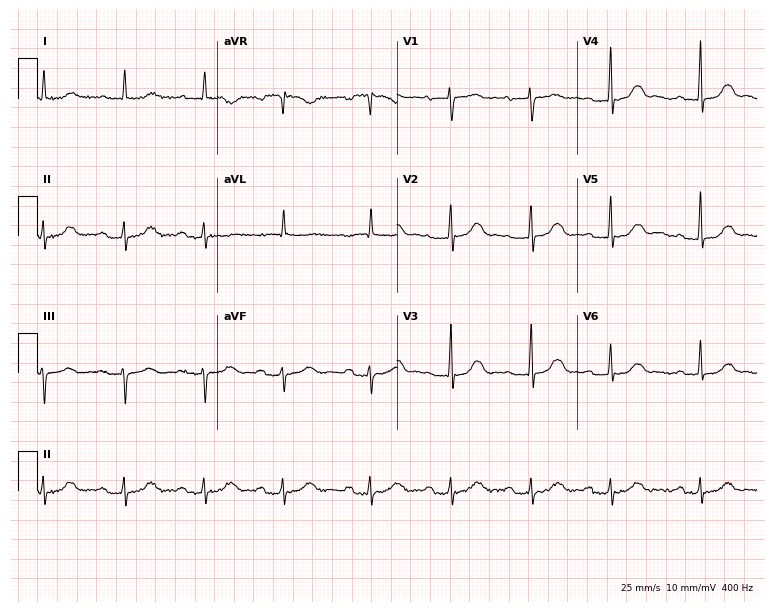
Electrocardiogram (7.3-second recording at 400 Hz), an 82-year-old female. Interpretation includes first-degree AV block.